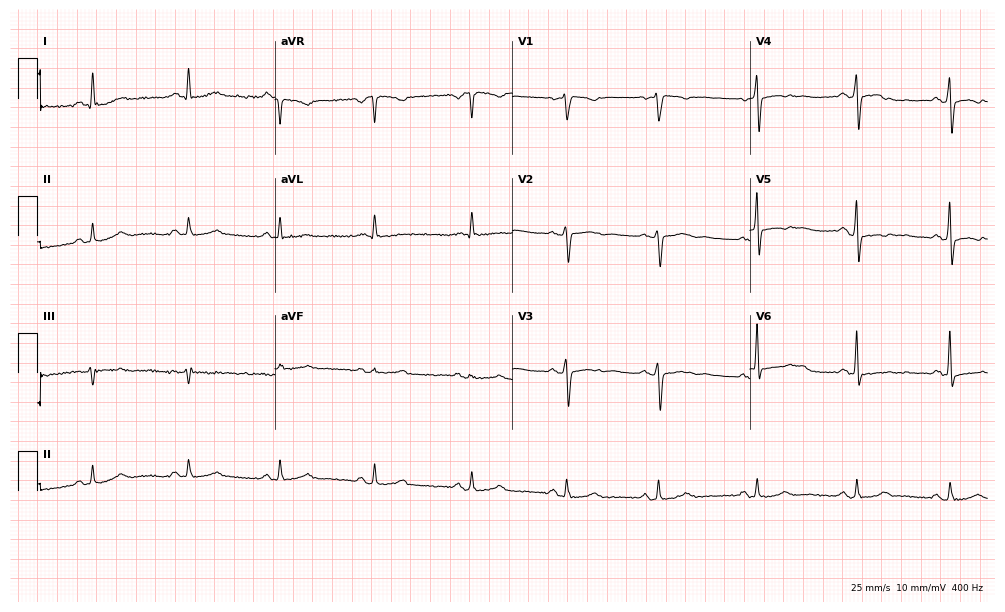
Resting 12-lead electrocardiogram. Patient: a man, 46 years old. None of these six findings is recorded: first-degree AV block, right bundle branch block, left bundle branch block, sinus bradycardia, atrial fibrillation, sinus tachycardia.